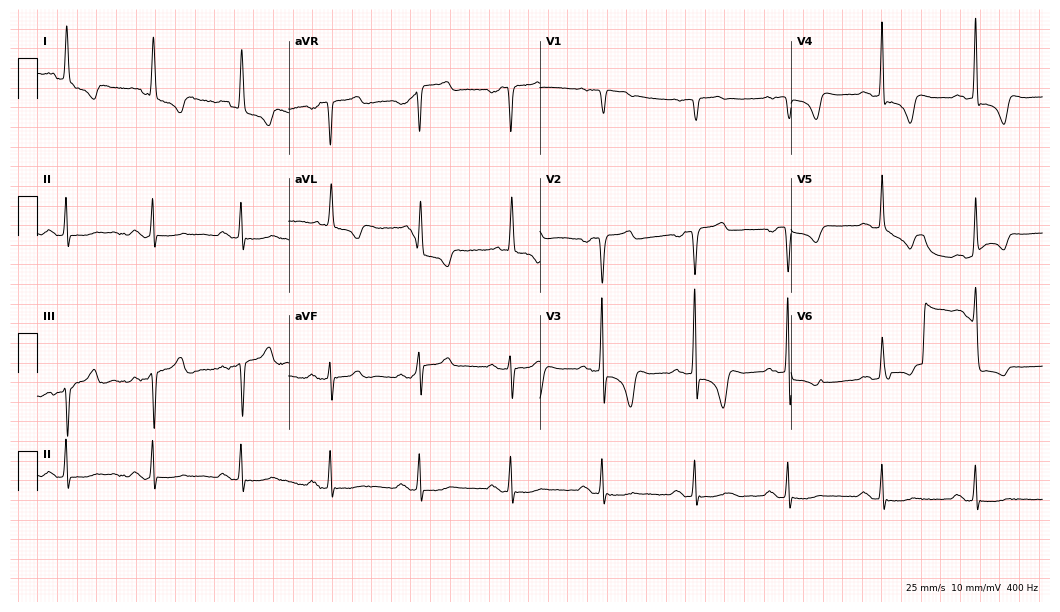
Resting 12-lead electrocardiogram (10.2-second recording at 400 Hz). Patient: a female, 82 years old. None of these six findings is recorded: first-degree AV block, right bundle branch block, left bundle branch block, sinus bradycardia, atrial fibrillation, sinus tachycardia. Only these six findings were labelled.